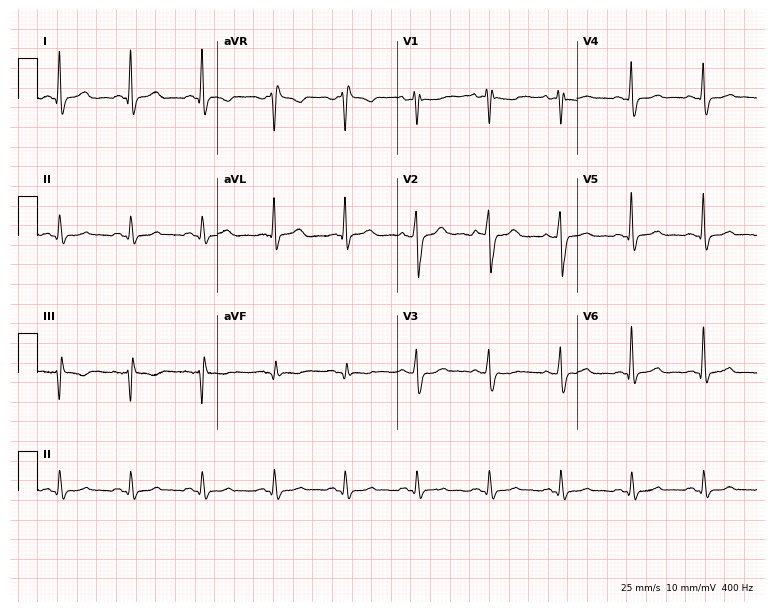
12-lead ECG from a 57-year-old male (7.3-second recording at 400 Hz). No first-degree AV block, right bundle branch block, left bundle branch block, sinus bradycardia, atrial fibrillation or sinus tachycardia recorded for this tracing.